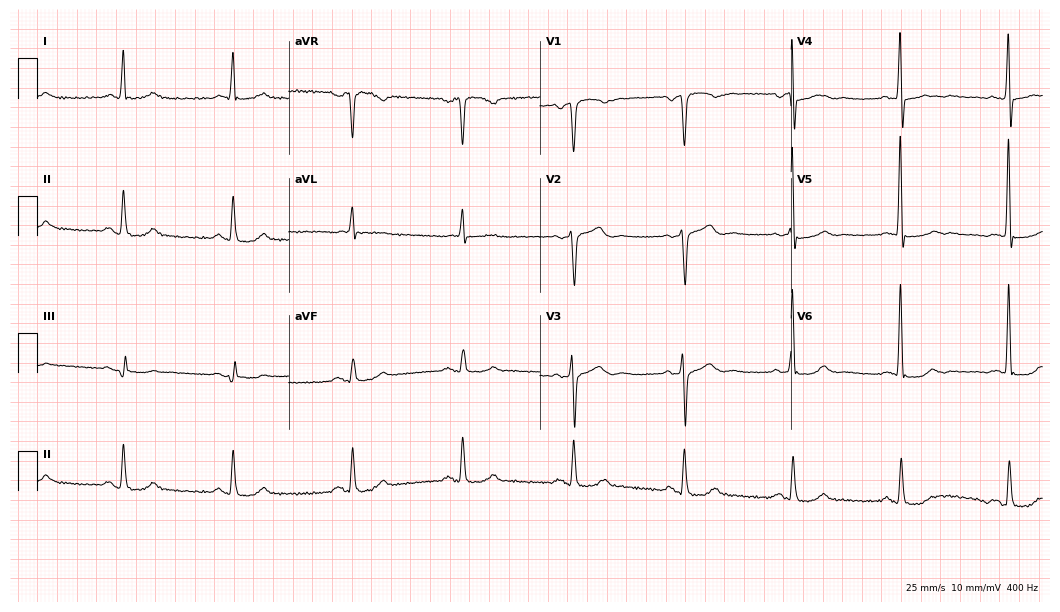
Electrocardiogram (10.2-second recording at 400 Hz), a 70-year-old man. Of the six screened findings (first-degree AV block, right bundle branch block (RBBB), left bundle branch block (LBBB), sinus bradycardia, atrial fibrillation (AF), sinus tachycardia), none is recorded.